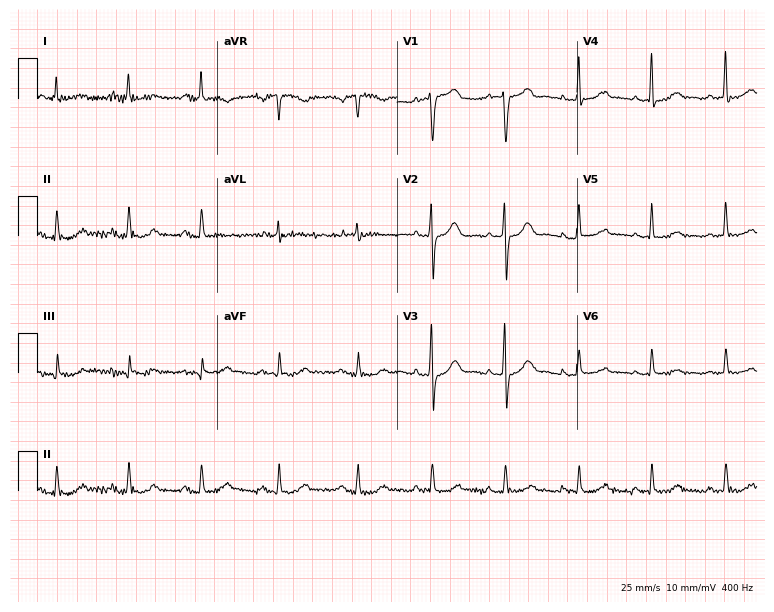
Electrocardiogram (7.3-second recording at 400 Hz), a 74-year-old woman. Of the six screened findings (first-degree AV block, right bundle branch block, left bundle branch block, sinus bradycardia, atrial fibrillation, sinus tachycardia), none is recorded.